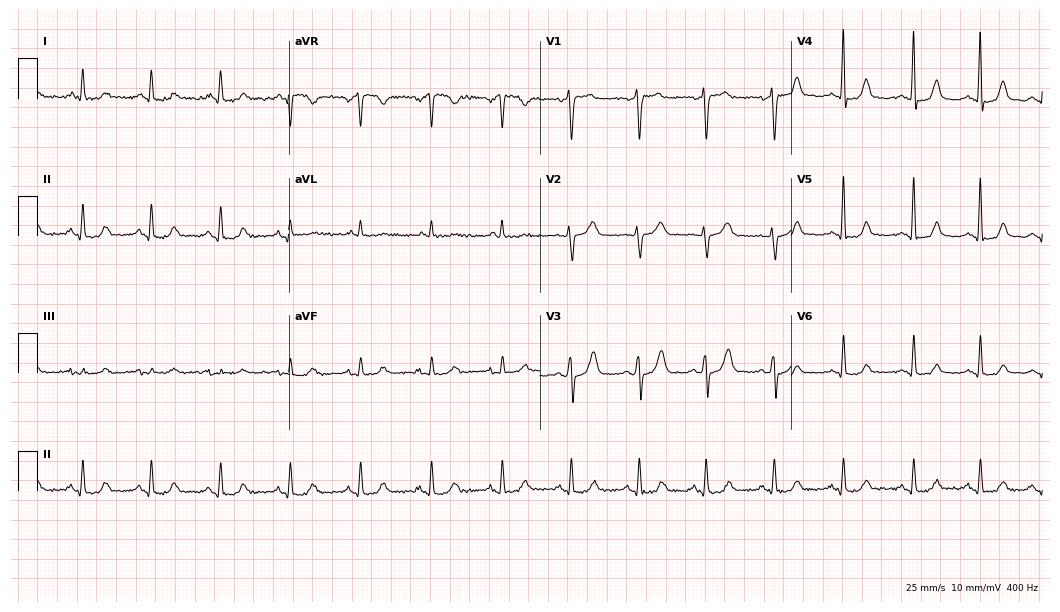
Resting 12-lead electrocardiogram. Patient: a female, 56 years old. Read as a normal ECG.